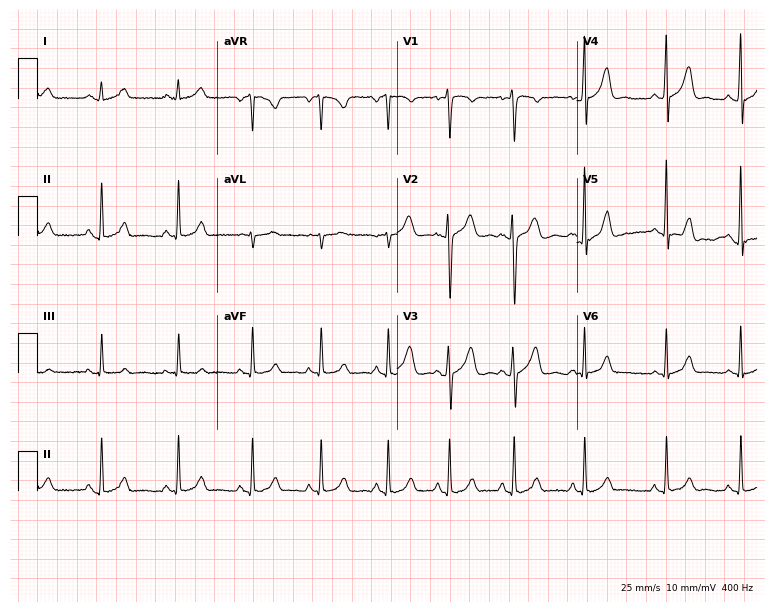
Electrocardiogram, a woman, 29 years old. Of the six screened findings (first-degree AV block, right bundle branch block (RBBB), left bundle branch block (LBBB), sinus bradycardia, atrial fibrillation (AF), sinus tachycardia), none is recorded.